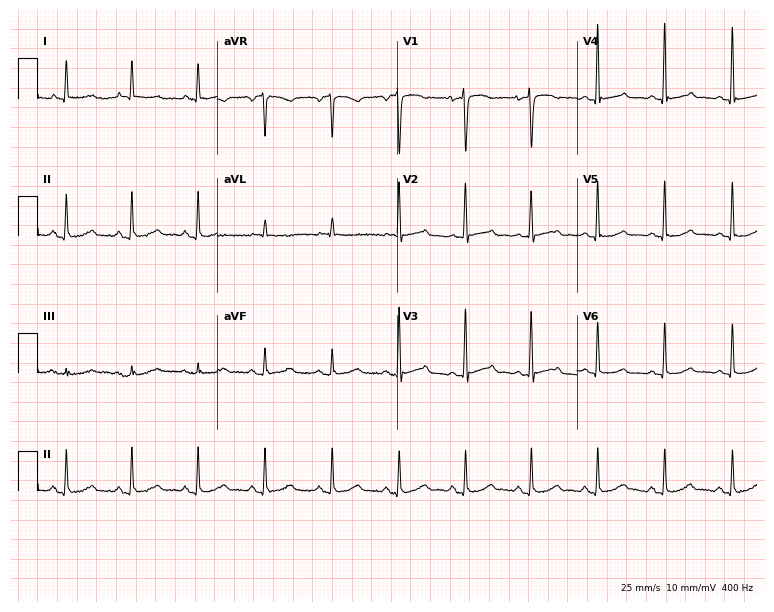
12-lead ECG from a 78-year-old female (7.3-second recording at 400 Hz). Recorded interpretation: within normal limits.